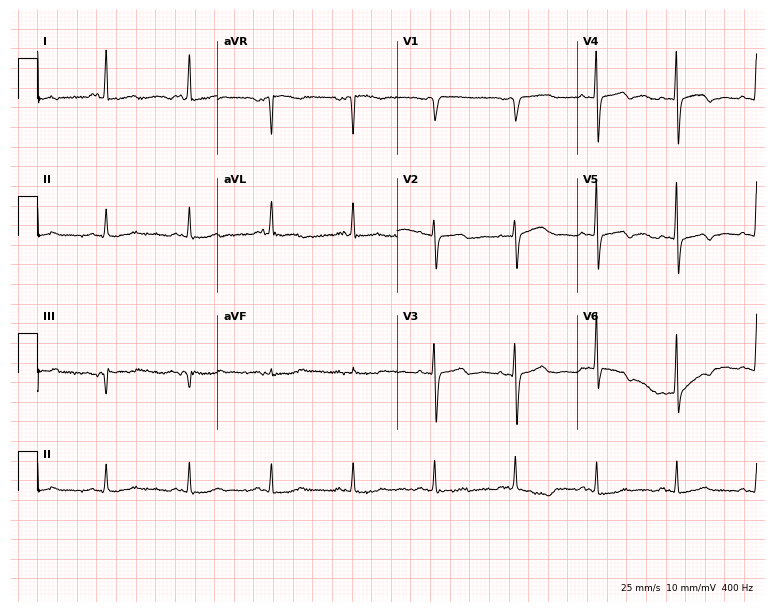
Resting 12-lead electrocardiogram. Patient: an 81-year-old female. None of these six findings is recorded: first-degree AV block, right bundle branch block, left bundle branch block, sinus bradycardia, atrial fibrillation, sinus tachycardia. Findings outside these six are not listed.